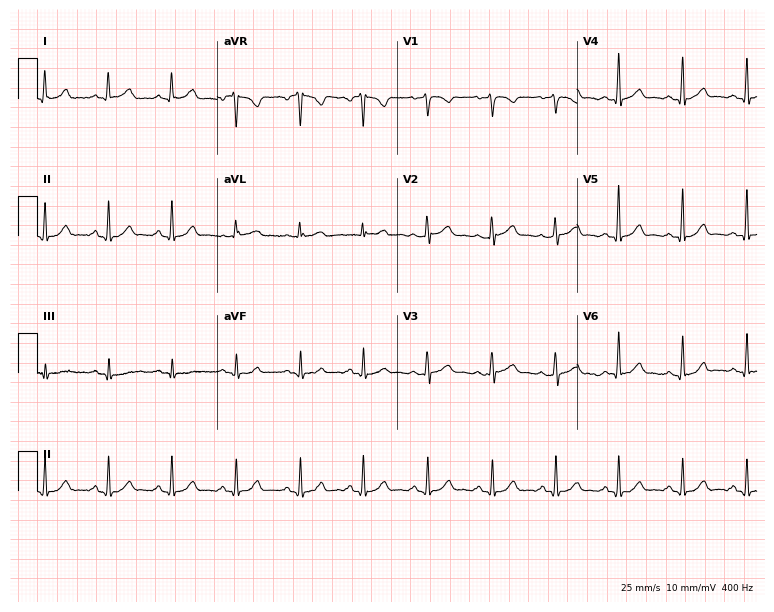
Standard 12-lead ECG recorded from a female patient, 60 years old. Read as a normal ECG.